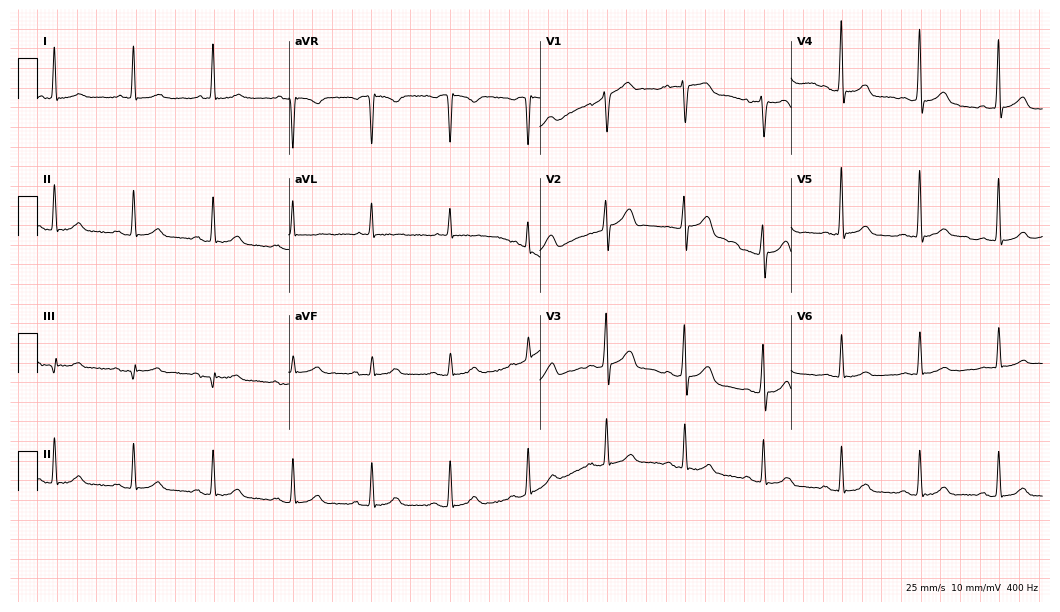
ECG — a 65-year-old man. Screened for six findings — first-degree AV block, right bundle branch block, left bundle branch block, sinus bradycardia, atrial fibrillation, sinus tachycardia — none is recorded. Findings outside these six are not listed.